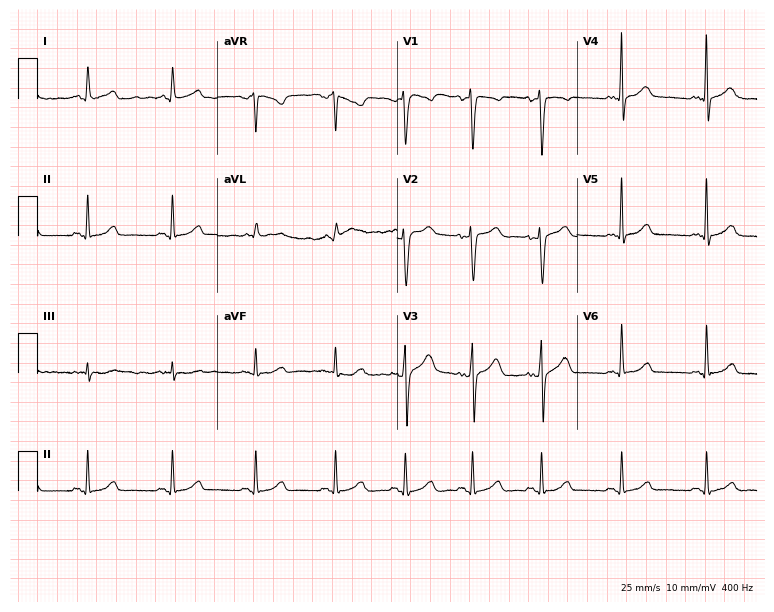
12-lead ECG (7.3-second recording at 400 Hz) from a female patient, 32 years old. Labelled as a normal ECG.